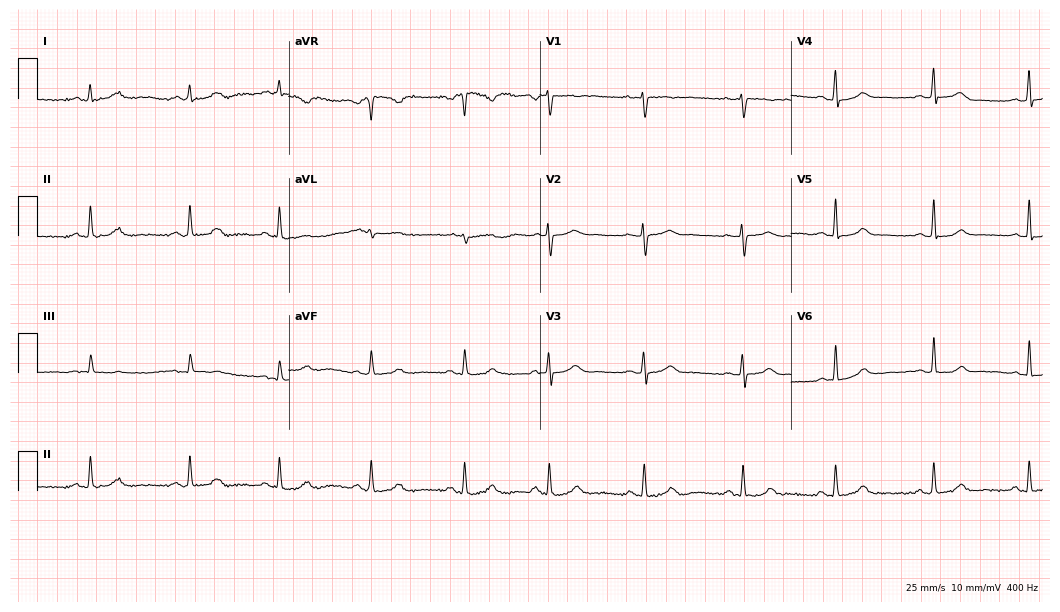
Resting 12-lead electrocardiogram (10.2-second recording at 400 Hz). Patient: a 37-year-old woman. None of these six findings is recorded: first-degree AV block, right bundle branch block (RBBB), left bundle branch block (LBBB), sinus bradycardia, atrial fibrillation (AF), sinus tachycardia.